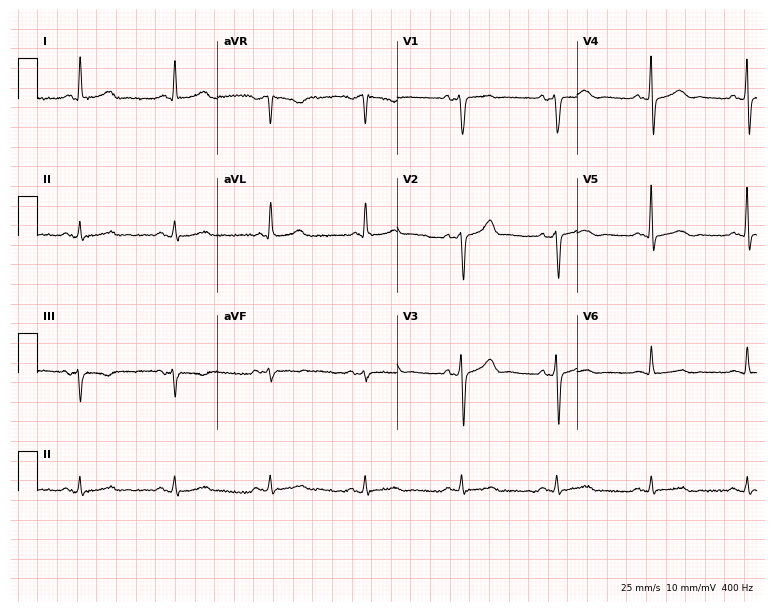
Electrocardiogram (7.3-second recording at 400 Hz), a 77-year-old male patient. Overall reading on record: normal ECG.